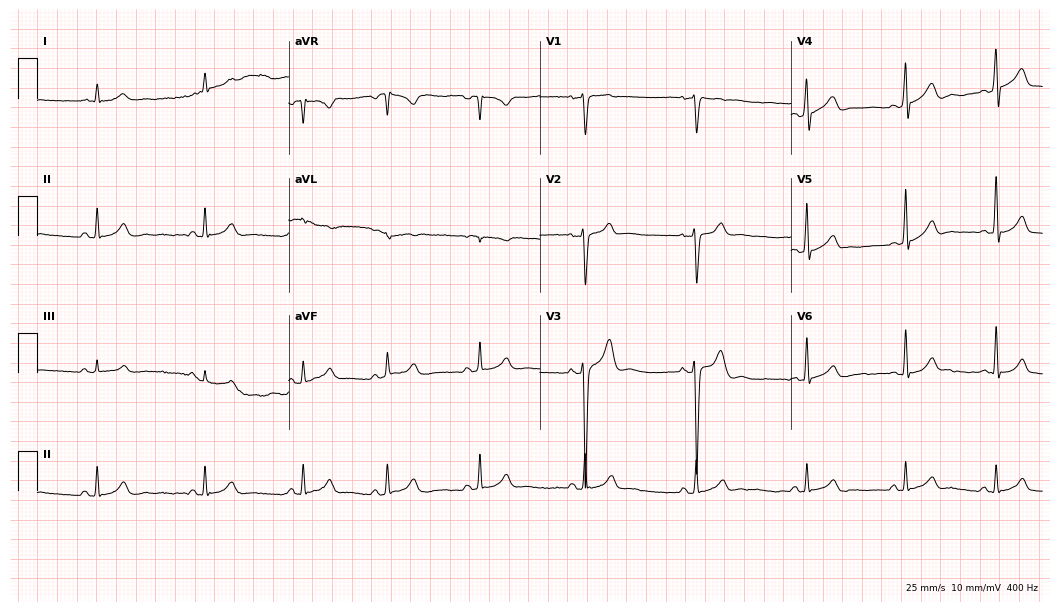
Electrocardiogram (10.2-second recording at 400 Hz), a male patient, 39 years old. Overall reading on record: normal ECG.